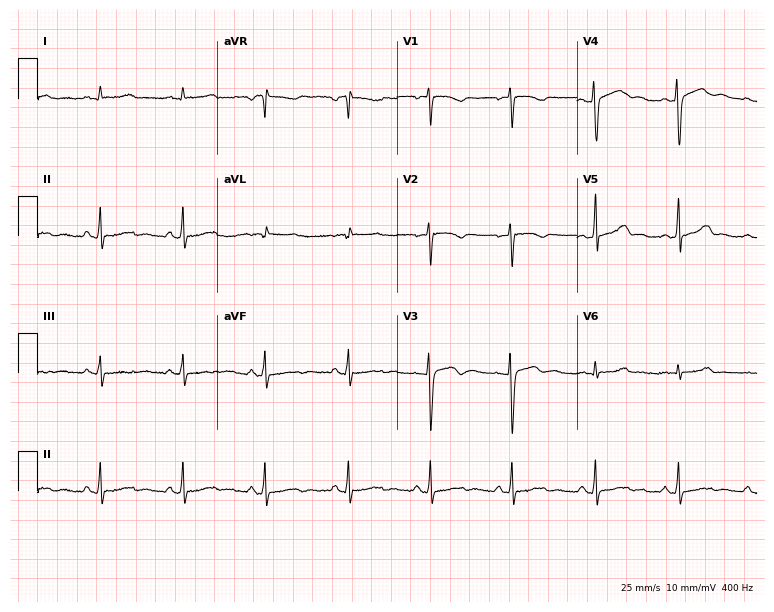
Electrocardiogram, a 32-year-old female. Overall reading on record: normal ECG.